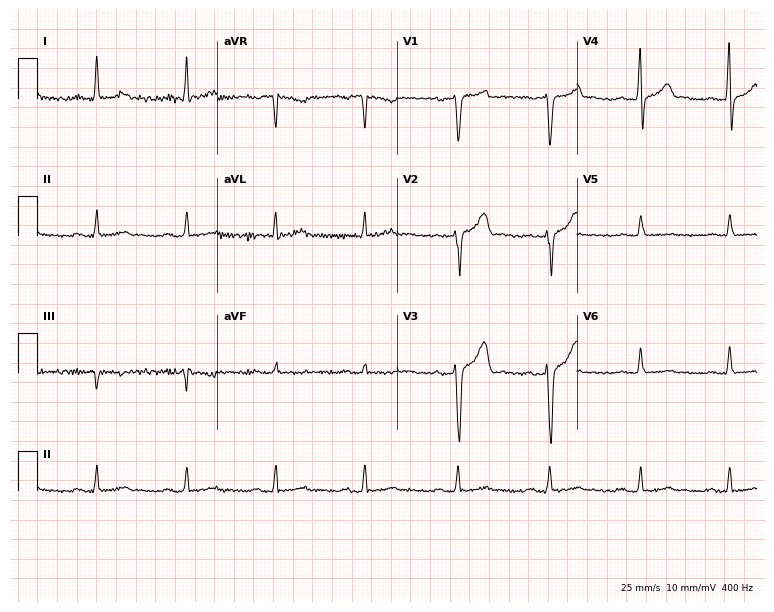
12-lead ECG from a 51-year-old male patient. No first-degree AV block, right bundle branch block, left bundle branch block, sinus bradycardia, atrial fibrillation or sinus tachycardia recorded for this tracing.